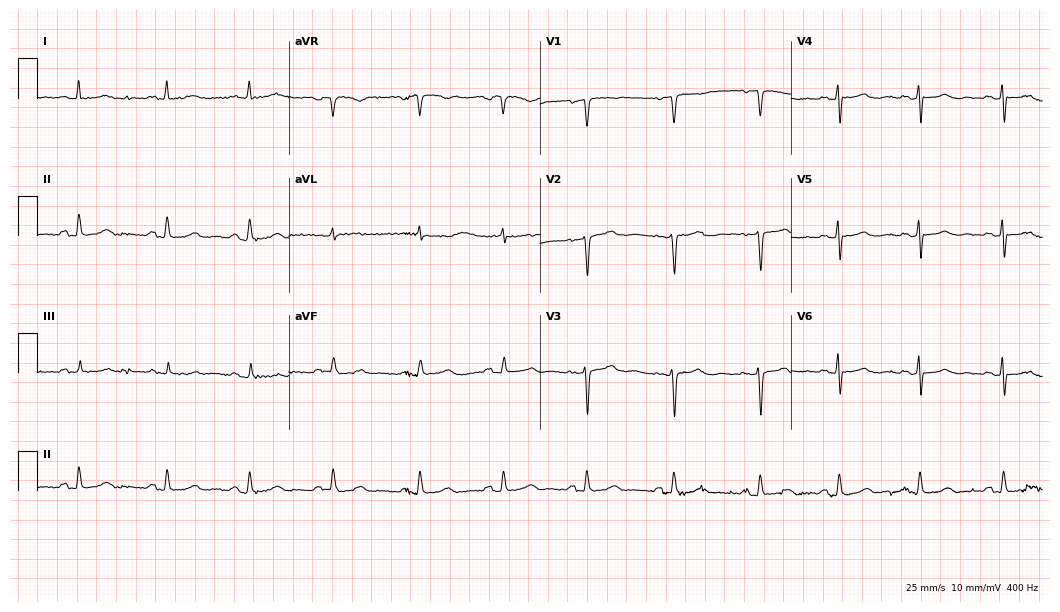
ECG — a woman, 47 years old. Screened for six findings — first-degree AV block, right bundle branch block (RBBB), left bundle branch block (LBBB), sinus bradycardia, atrial fibrillation (AF), sinus tachycardia — none is recorded. Findings outside these six are not listed.